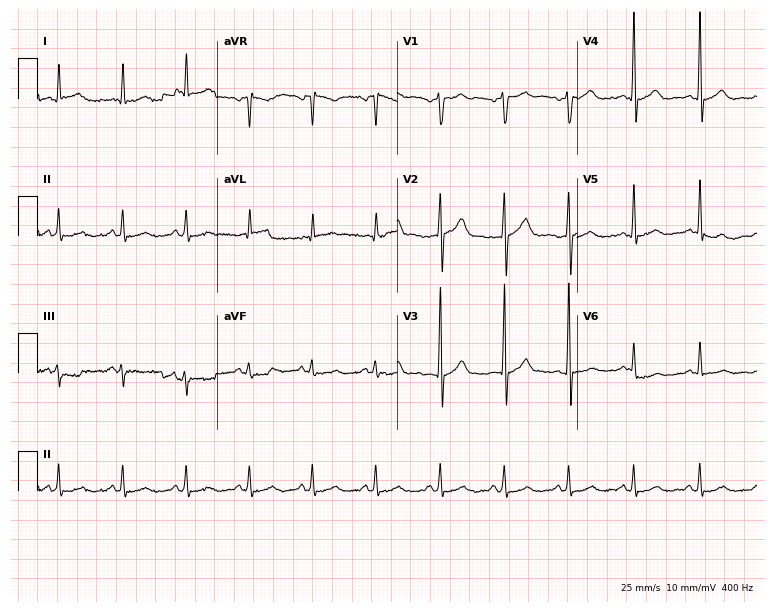
Resting 12-lead electrocardiogram (7.3-second recording at 400 Hz). Patient: a male, 57 years old. None of these six findings is recorded: first-degree AV block, right bundle branch block, left bundle branch block, sinus bradycardia, atrial fibrillation, sinus tachycardia.